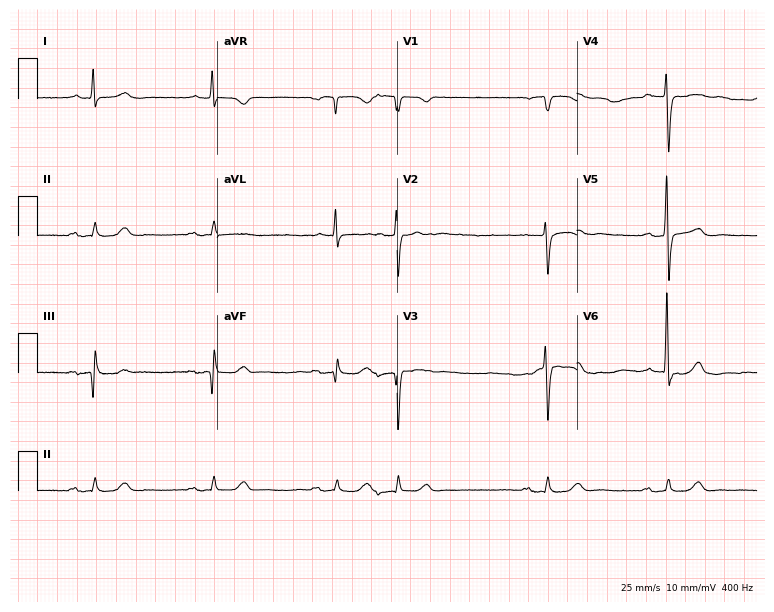
12-lead ECG (7.3-second recording at 400 Hz) from a male patient, 74 years old. Screened for six findings — first-degree AV block, right bundle branch block, left bundle branch block, sinus bradycardia, atrial fibrillation, sinus tachycardia — none is recorded.